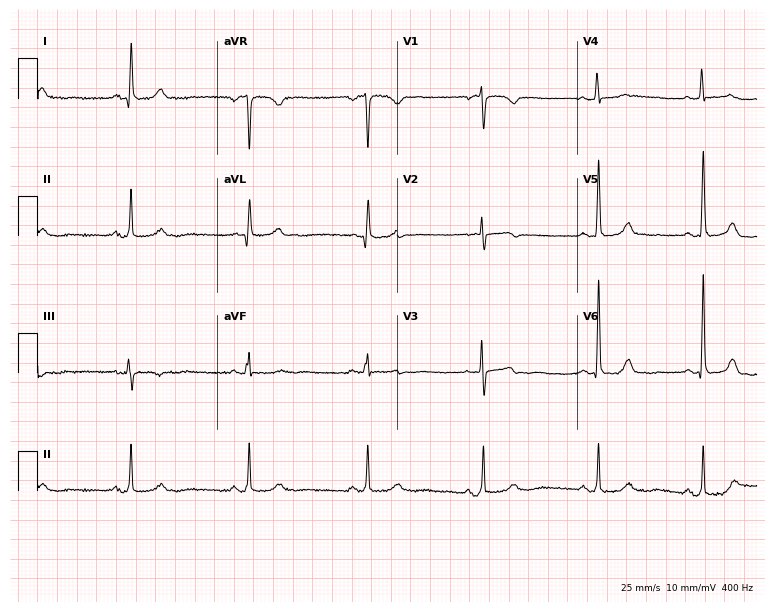
ECG — a female, 67 years old. Labelled as a normal ECG.